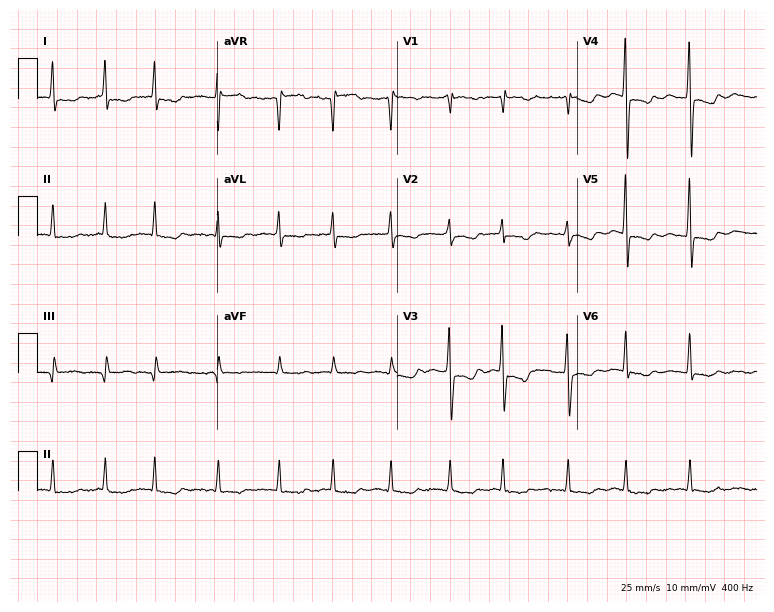
12-lead ECG (7.3-second recording at 400 Hz) from a 64-year-old woman. Findings include atrial fibrillation.